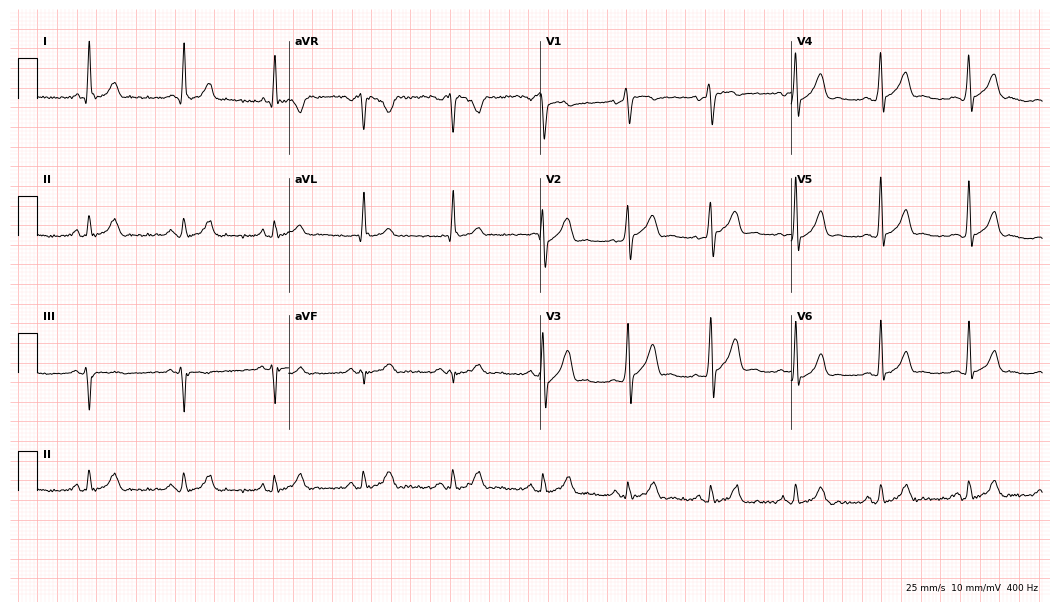
Electrocardiogram, a 28-year-old man. Of the six screened findings (first-degree AV block, right bundle branch block, left bundle branch block, sinus bradycardia, atrial fibrillation, sinus tachycardia), none is recorded. Findings outside these six are not listed.